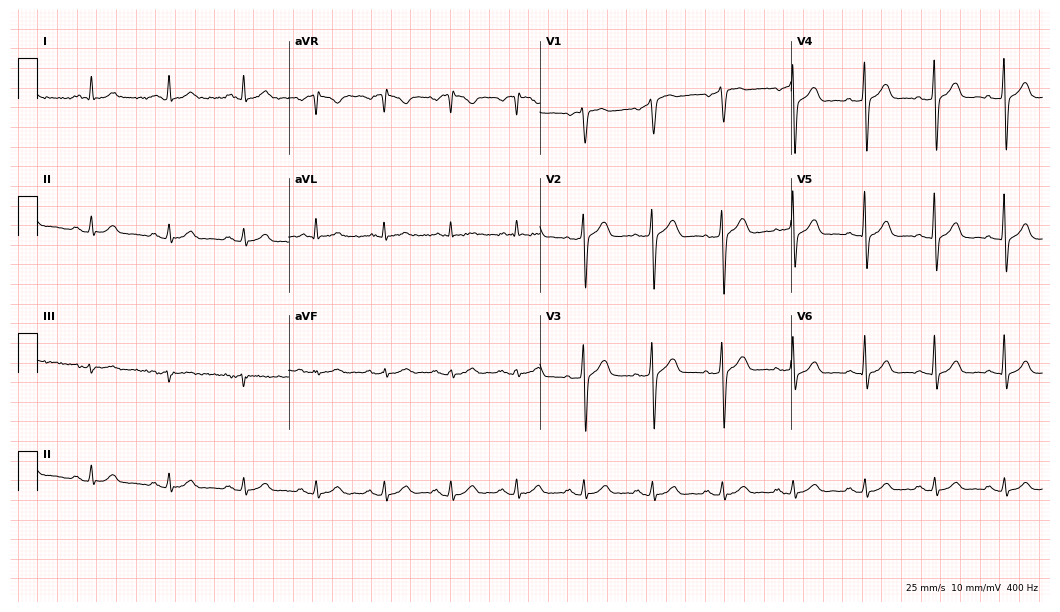
Electrocardiogram, a 47-year-old man. Overall reading on record: normal ECG.